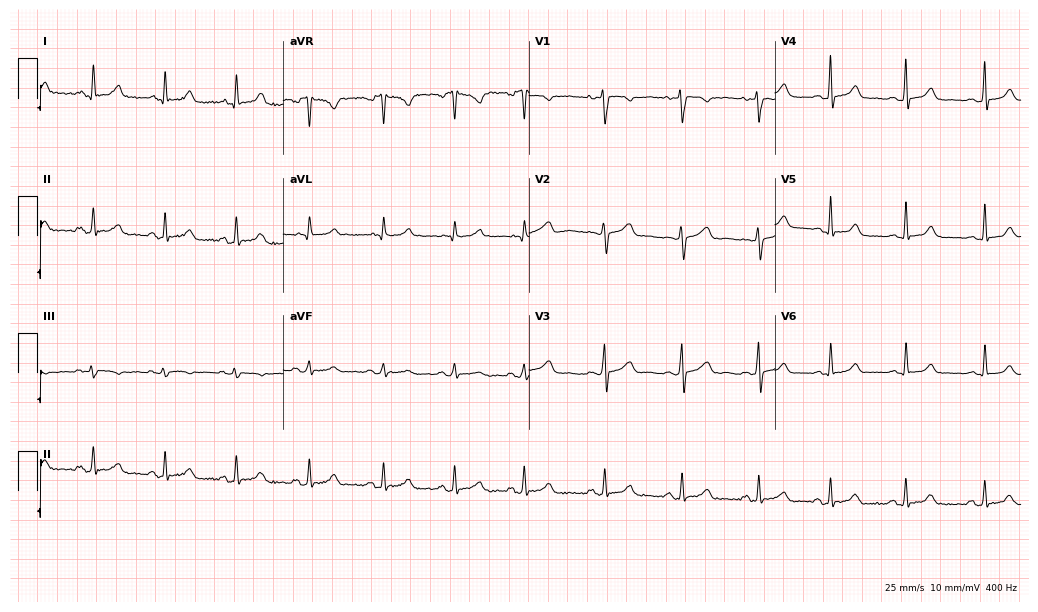
Electrocardiogram (10-second recording at 400 Hz), a female, 24 years old. Overall reading on record: normal ECG.